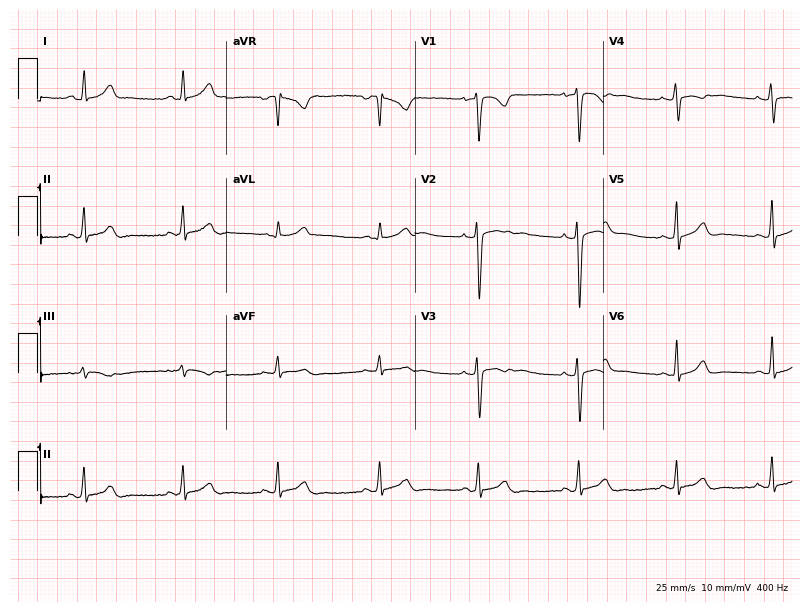
12-lead ECG (7.7-second recording at 400 Hz) from a woman, 22 years old. Screened for six findings — first-degree AV block, right bundle branch block, left bundle branch block, sinus bradycardia, atrial fibrillation, sinus tachycardia — none is recorded.